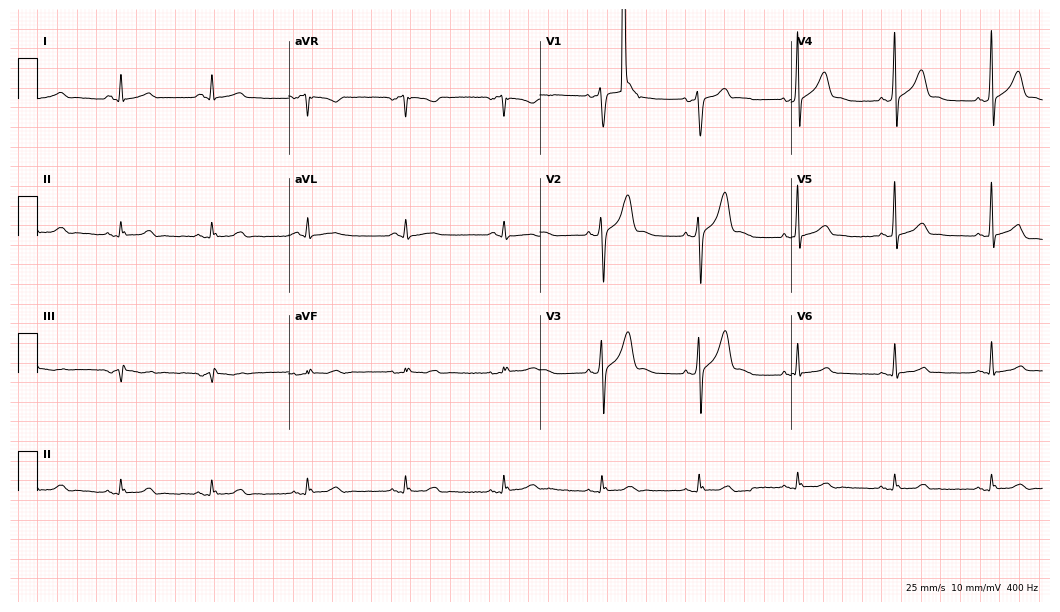
Standard 12-lead ECG recorded from a man, 48 years old. None of these six findings is recorded: first-degree AV block, right bundle branch block, left bundle branch block, sinus bradycardia, atrial fibrillation, sinus tachycardia. Other findings, if any, are not listed.